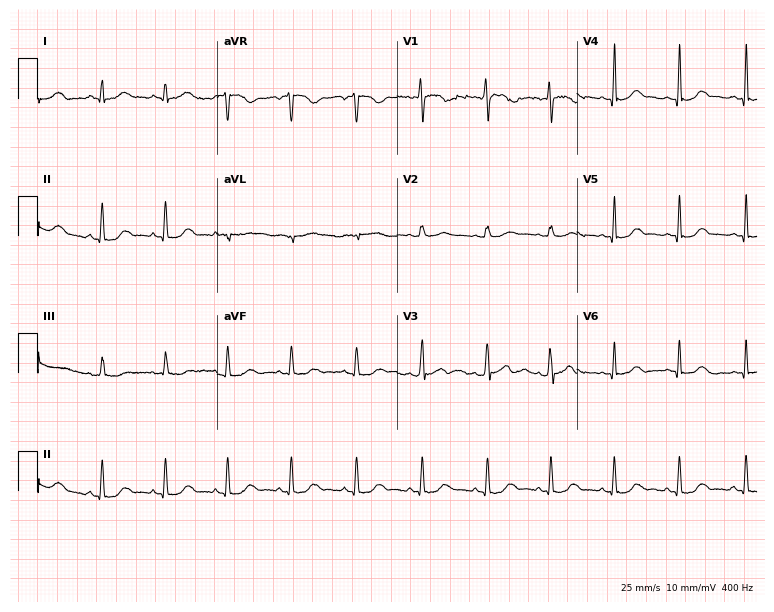
12-lead ECG from a female patient, 22 years old. No first-degree AV block, right bundle branch block (RBBB), left bundle branch block (LBBB), sinus bradycardia, atrial fibrillation (AF) or sinus tachycardia recorded for this tracing.